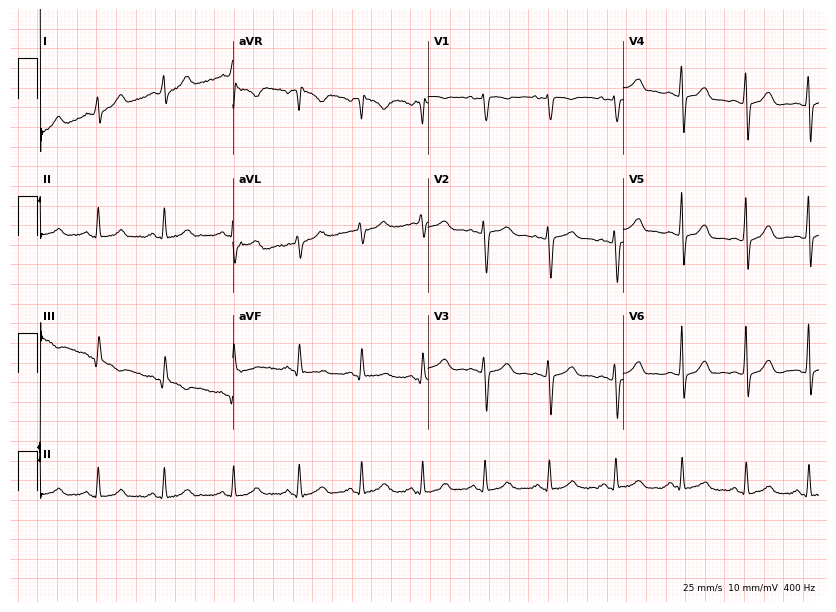
Standard 12-lead ECG recorded from a female, 25 years old. Read as a normal ECG.